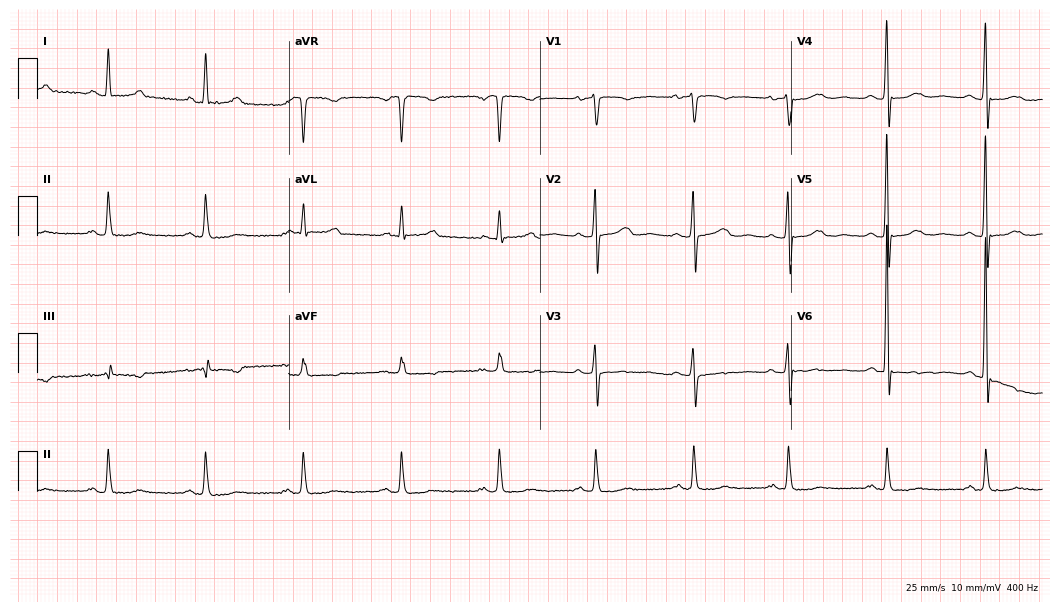
Resting 12-lead electrocardiogram. Patient: a female, 73 years old. None of these six findings is recorded: first-degree AV block, right bundle branch block, left bundle branch block, sinus bradycardia, atrial fibrillation, sinus tachycardia. Findings outside these six are not listed.